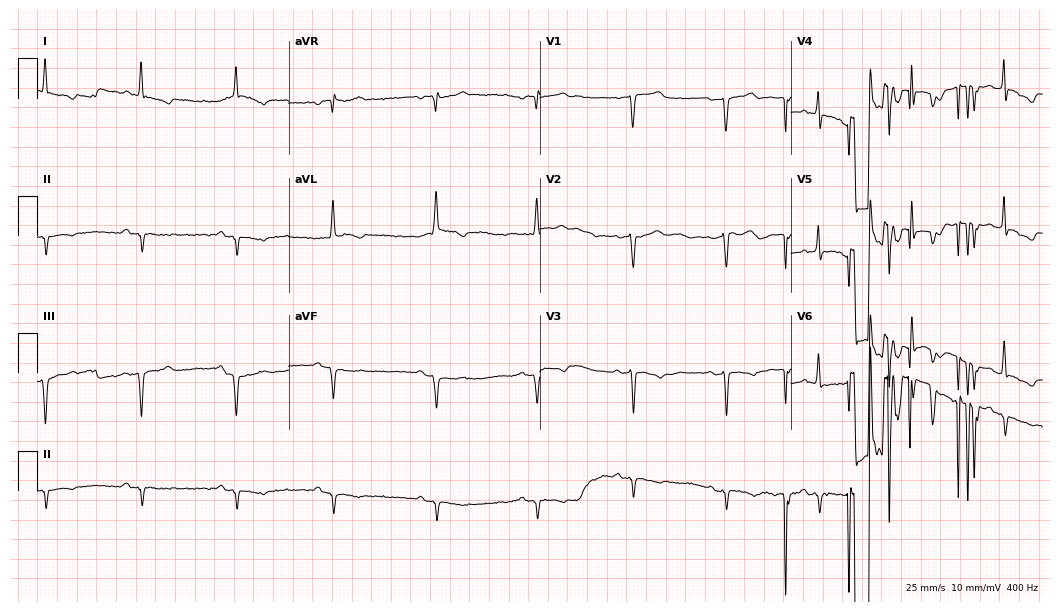
Resting 12-lead electrocardiogram. Patient: a female, 79 years old. None of these six findings is recorded: first-degree AV block, right bundle branch block, left bundle branch block, sinus bradycardia, atrial fibrillation, sinus tachycardia.